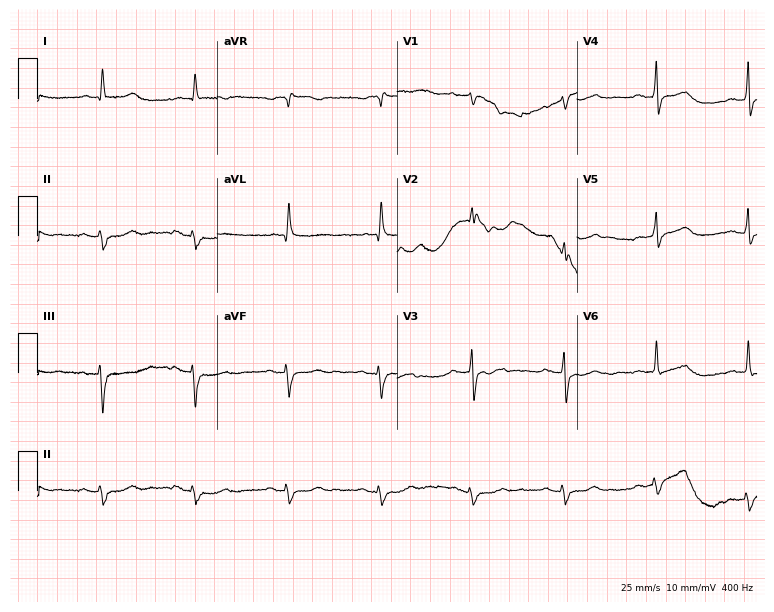
Resting 12-lead electrocardiogram (7.3-second recording at 400 Hz). Patient: a female, 65 years old. None of these six findings is recorded: first-degree AV block, right bundle branch block, left bundle branch block, sinus bradycardia, atrial fibrillation, sinus tachycardia.